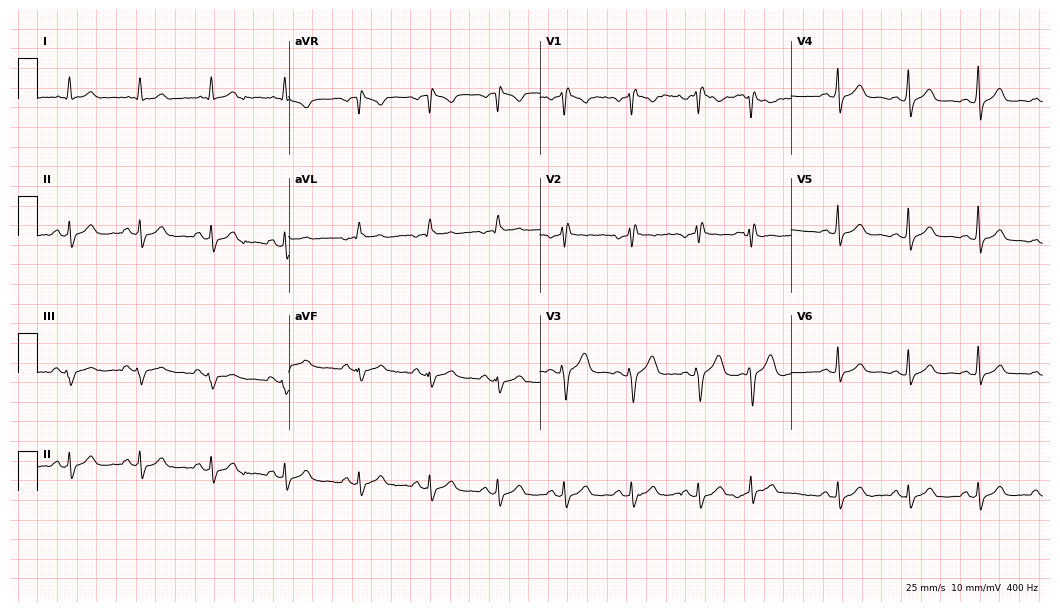
12-lead ECG from a man, 43 years old. Screened for six findings — first-degree AV block, right bundle branch block, left bundle branch block, sinus bradycardia, atrial fibrillation, sinus tachycardia — none is recorded.